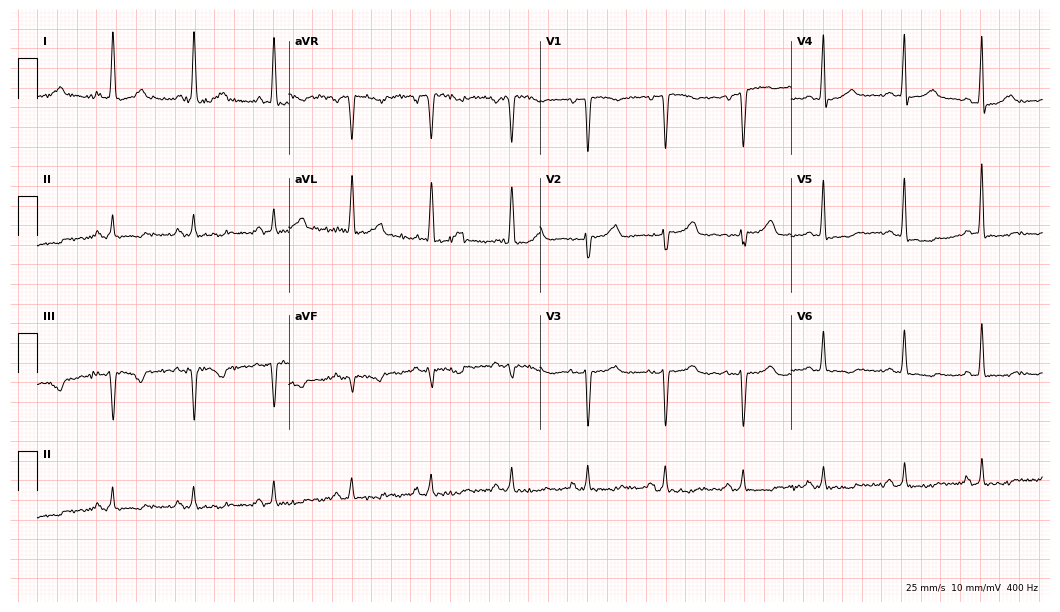
Resting 12-lead electrocardiogram (10.2-second recording at 400 Hz). Patient: a female, 73 years old. None of these six findings is recorded: first-degree AV block, right bundle branch block (RBBB), left bundle branch block (LBBB), sinus bradycardia, atrial fibrillation (AF), sinus tachycardia.